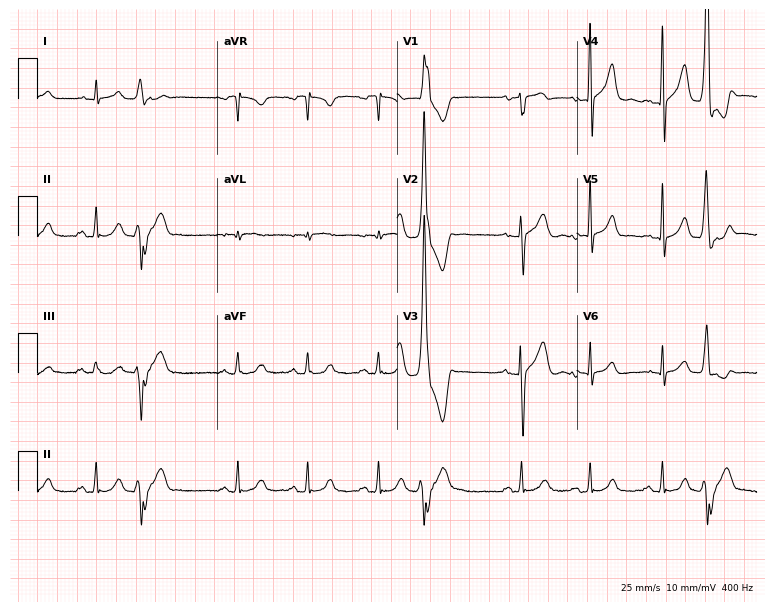
Resting 12-lead electrocardiogram (7.3-second recording at 400 Hz). Patient: a 68-year-old man. None of these six findings is recorded: first-degree AV block, right bundle branch block, left bundle branch block, sinus bradycardia, atrial fibrillation, sinus tachycardia. Findings outside these six are not listed.